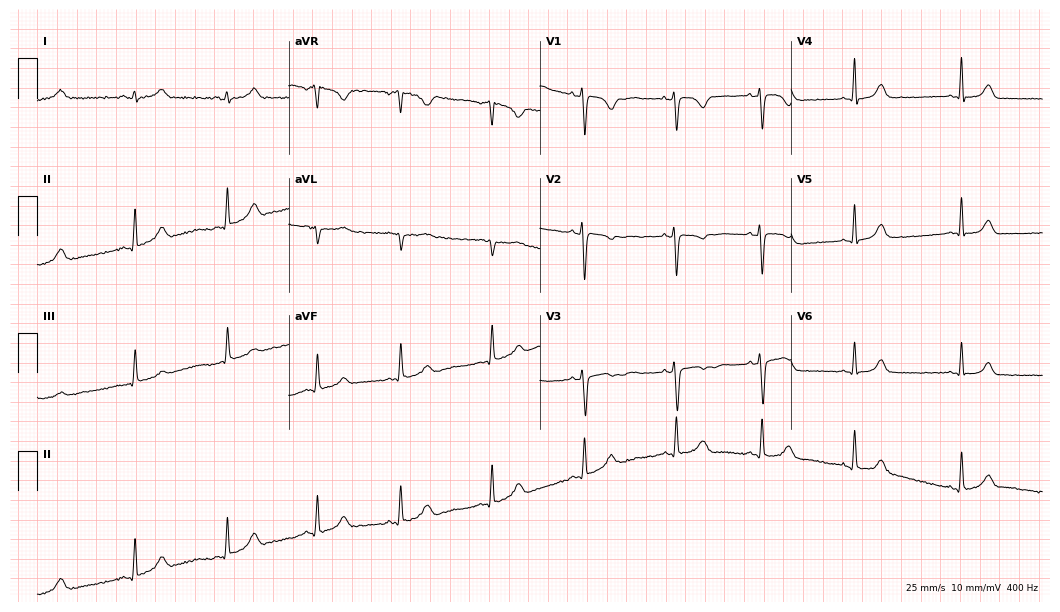
Standard 12-lead ECG recorded from a female, 28 years old. None of these six findings is recorded: first-degree AV block, right bundle branch block, left bundle branch block, sinus bradycardia, atrial fibrillation, sinus tachycardia. Only these six findings were labelled.